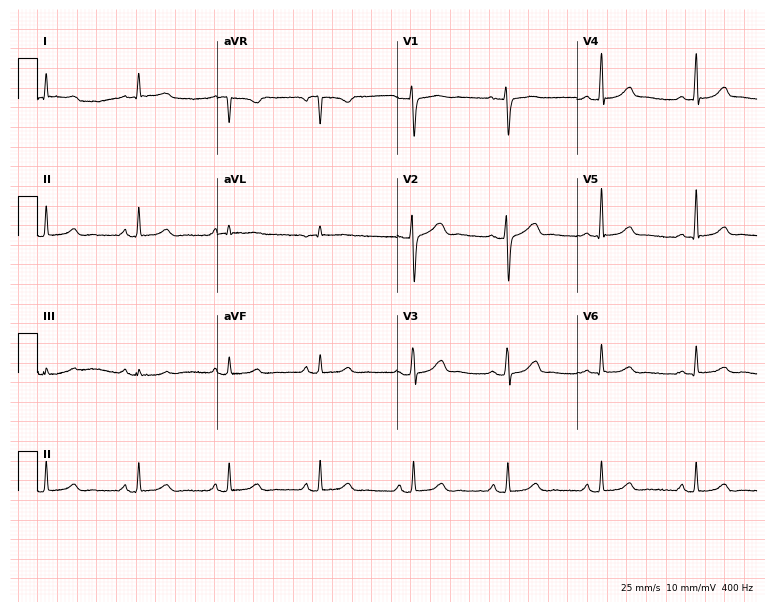
12-lead ECG from a 44-year-old woman. Screened for six findings — first-degree AV block, right bundle branch block, left bundle branch block, sinus bradycardia, atrial fibrillation, sinus tachycardia — none is recorded. Findings outside these six are not listed.